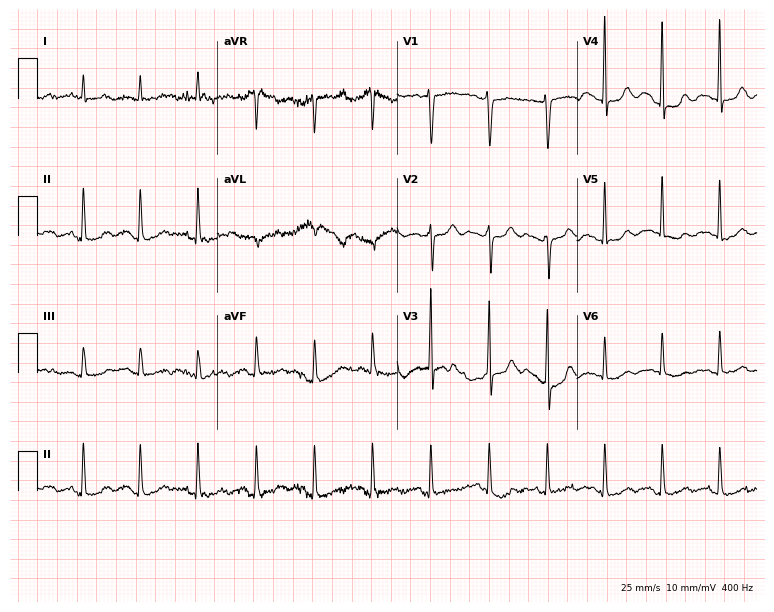
12-lead ECG from a woman, 46 years old (7.3-second recording at 400 Hz). Shows sinus tachycardia (a sinus rate of 100 beats per minute or more).